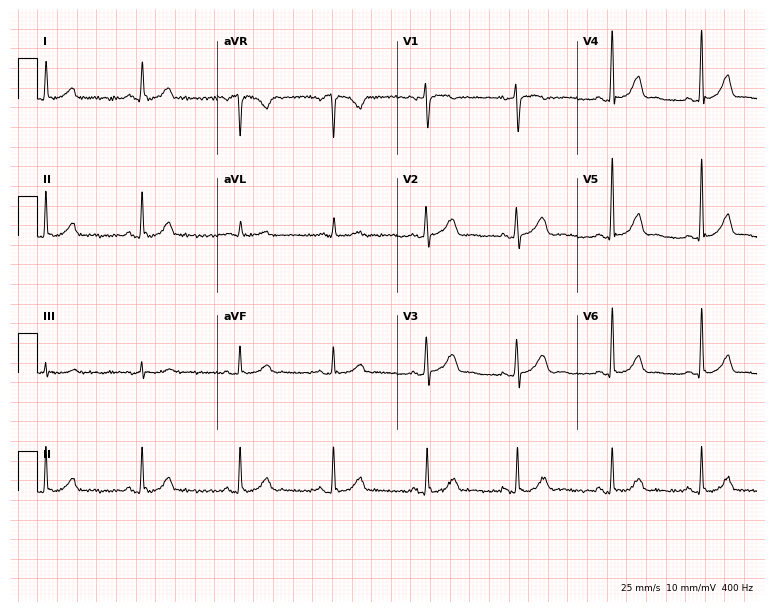
Resting 12-lead electrocardiogram. Patient: a female, 37 years old. Read as a normal ECG.